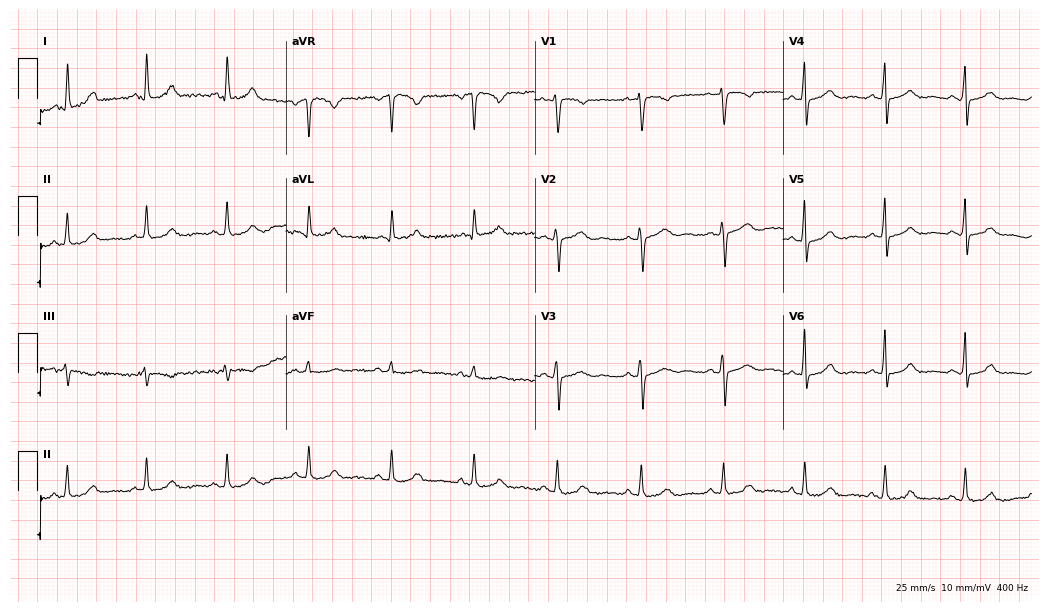
ECG (10.1-second recording at 400 Hz) — a 45-year-old woman. Labelled as a normal ECG.